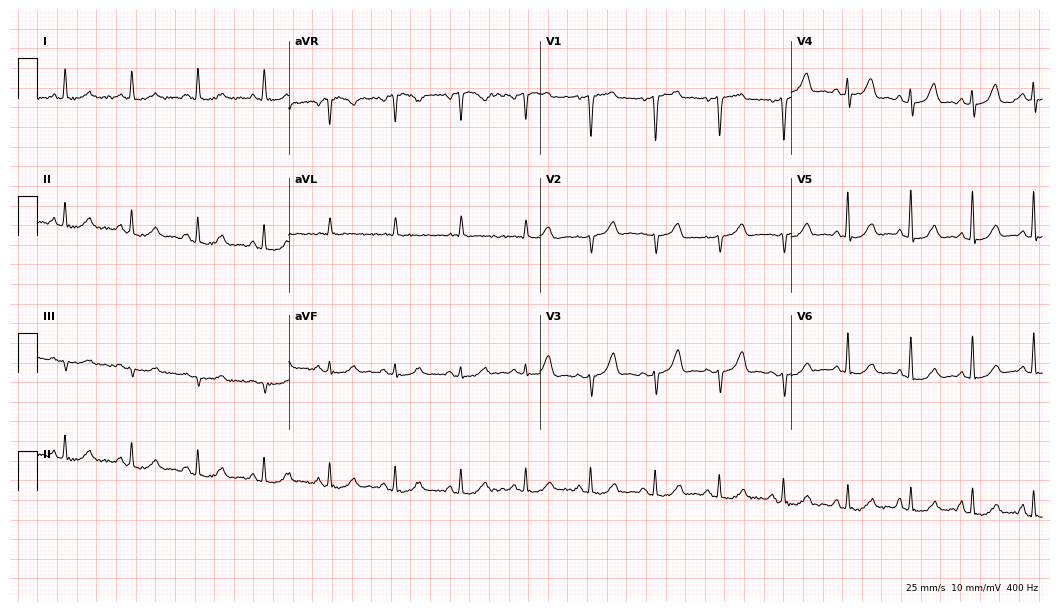
Standard 12-lead ECG recorded from a female patient, 73 years old. None of these six findings is recorded: first-degree AV block, right bundle branch block (RBBB), left bundle branch block (LBBB), sinus bradycardia, atrial fibrillation (AF), sinus tachycardia.